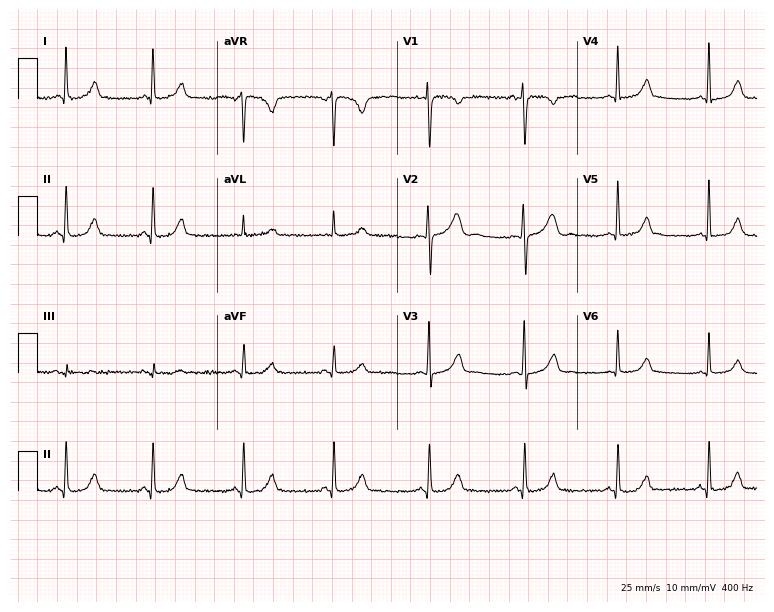
Standard 12-lead ECG recorded from a 31-year-old female patient (7.3-second recording at 400 Hz). Read as a normal ECG.